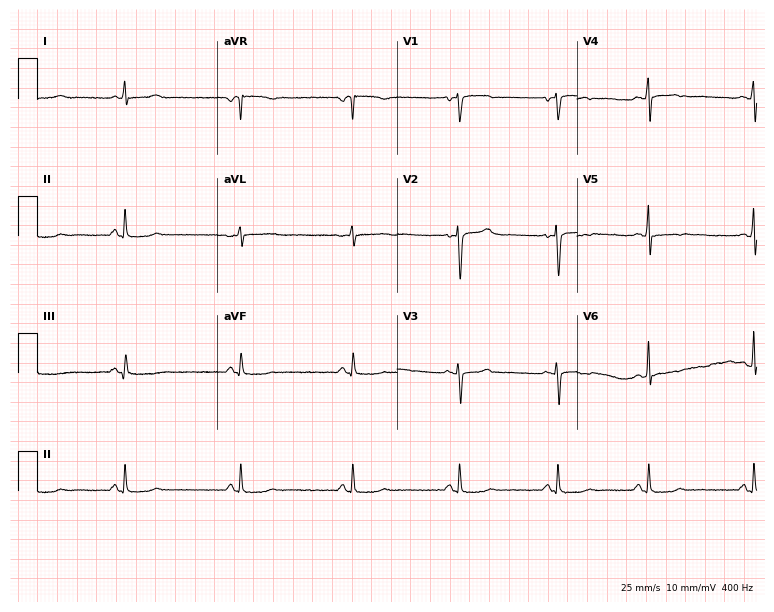
ECG (7.3-second recording at 400 Hz) — a 37-year-old female patient. Screened for six findings — first-degree AV block, right bundle branch block, left bundle branch block, sinus bradycardia, atrial fibrillation, sinus tachycardia — none is recorded. Other findings, if any, are not listed.